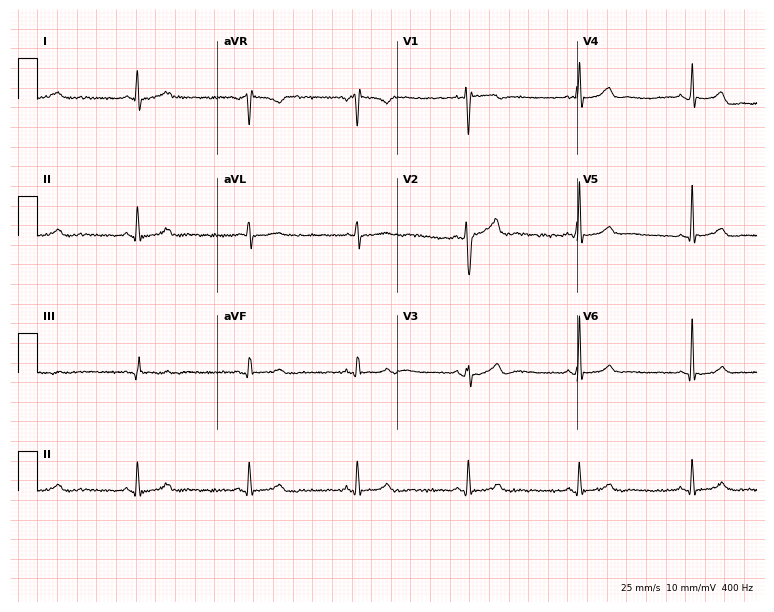
Resting 12-lead electrocardiogram. Patient: a male, 34 years old. Read as a normal ECG.